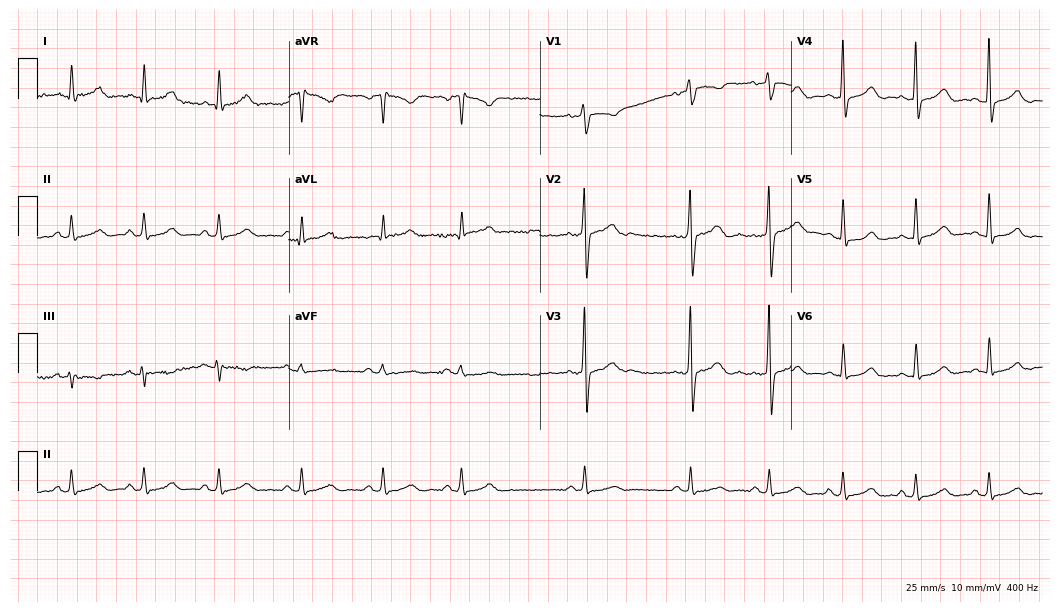
Electrocardiogram (10.2-second recording at 400 Hz), a 52-year-old woman. Overall reading on record: normal ECG.